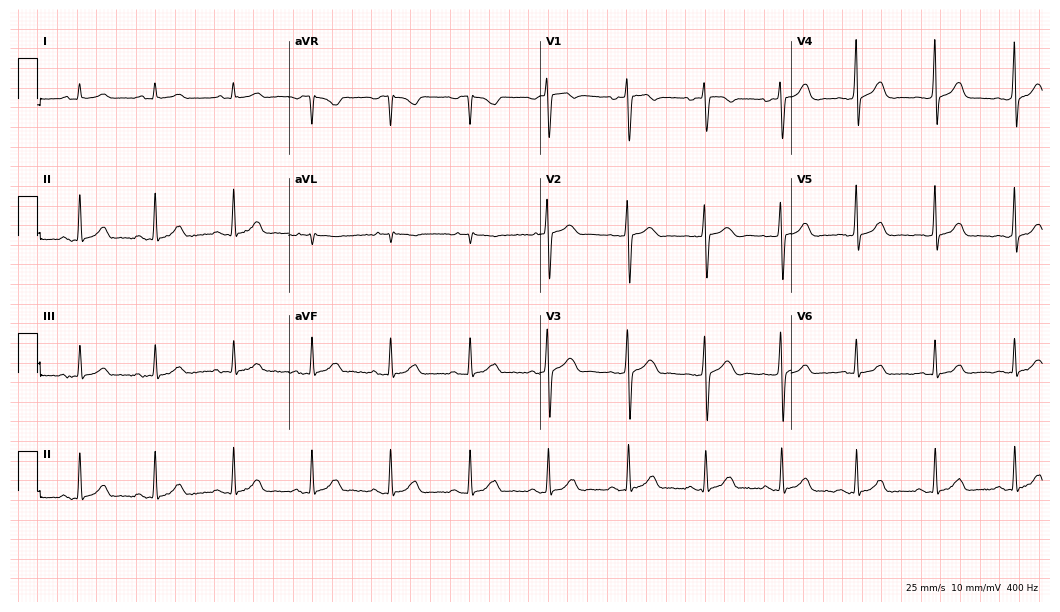
Resting 12-lead electrocardiogram. Patient: a 35-year-old man. Read as a normal ECG.